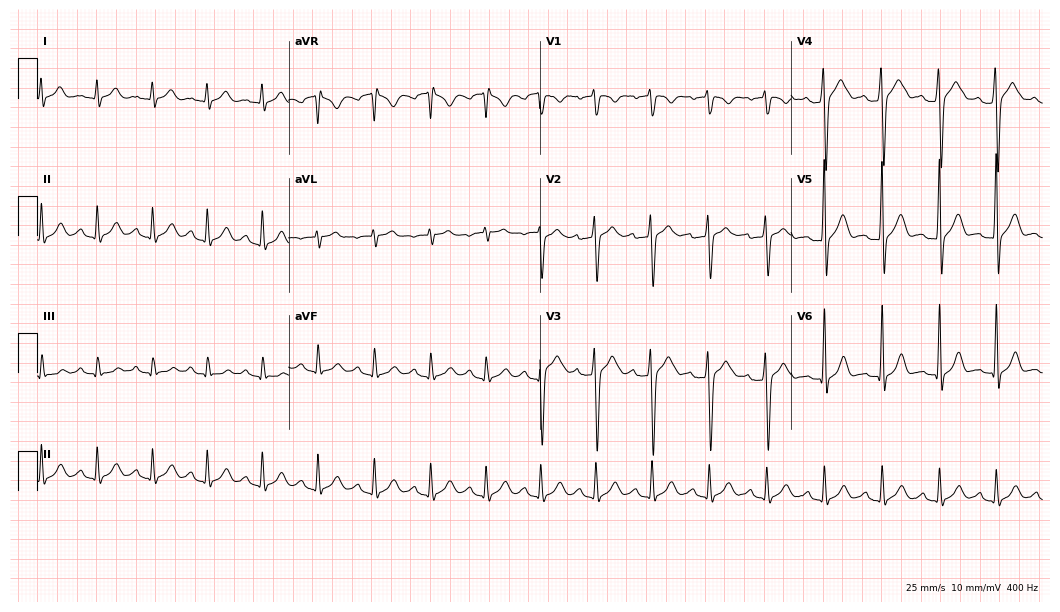
Electrocardiogram (10.2-second recording at 400 Hz), a 24-year-old male patient. Interpretation includes sinus tachycardia (a sinus rate of 100 beats per minute or more).